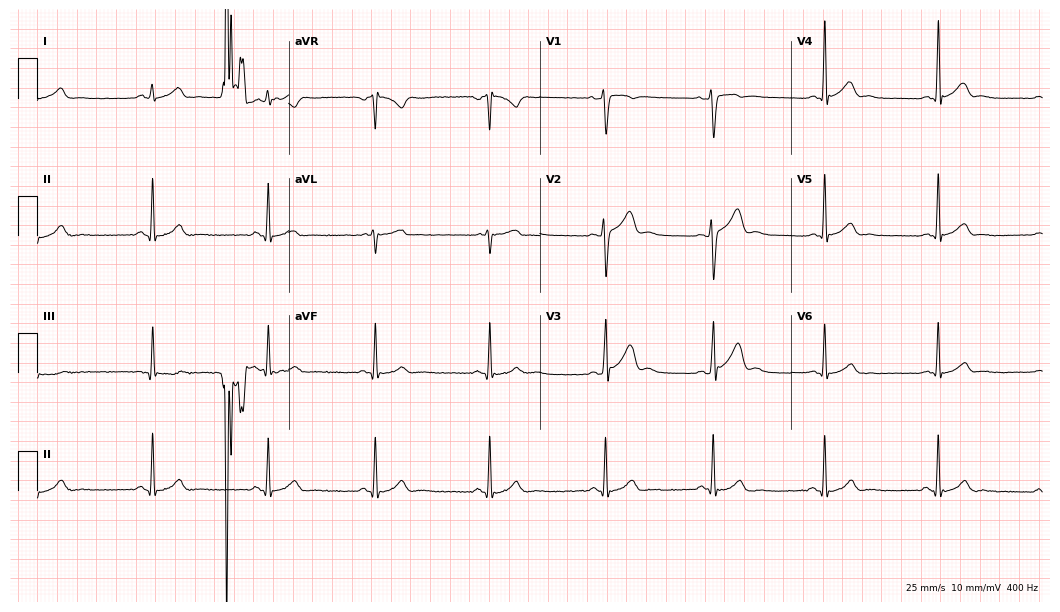
ECG — a male patient, 30 years old. Labelled as a normal ECG.